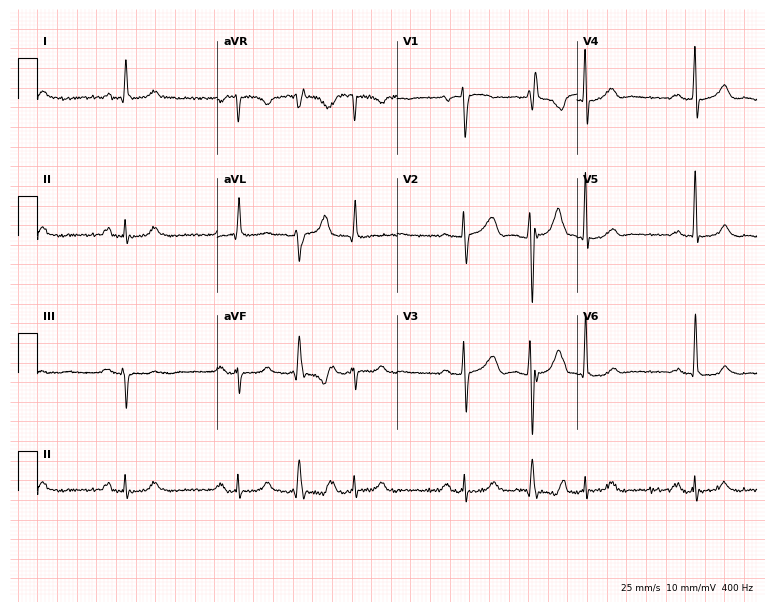
ECG (7.3-second recording at 400 Hz) — a 77-year-old male. Screened for six findings — first-degree AV block, right bundle branch block (RBBB), left bundle branch block (LBBB), sinus bradycardia, atrial fibrillation (AF), sinus tachycardia — none is recorded. Other findings, if any, are not listed.